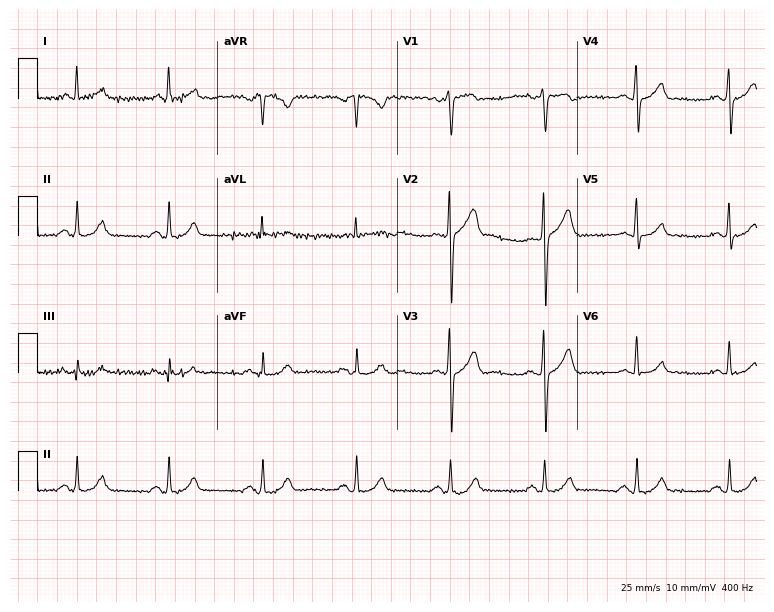
12-lead ECG from a man, 67 years old. No first-degree AV block, right bundle branch block, left bundle branch block, sinus bradycardia, atrial fibrillation or sinus tachycardia recorded for this tracing. Findings outside these six are not listed.